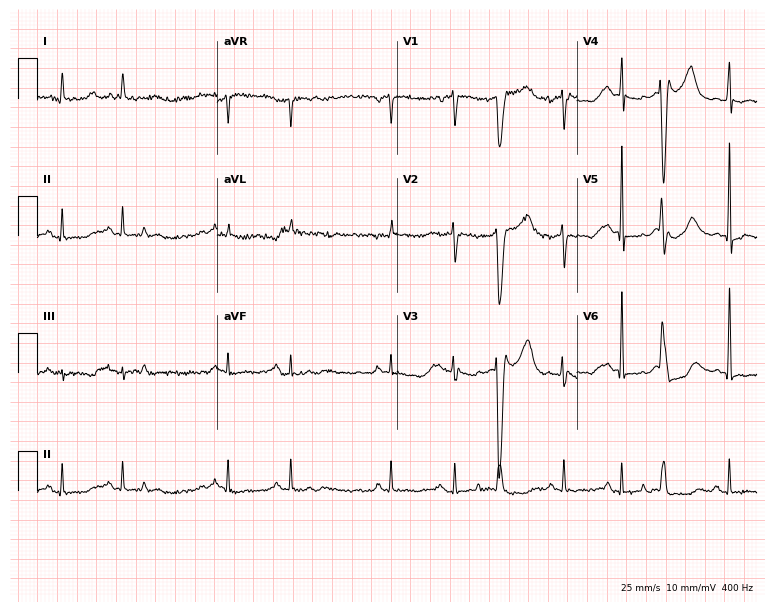
12-lead ECG (7.3-second recording at 400 Hz) from a woman, 56 years old. Screened for six findings — first-degree AV block, right bundle branch block, left bundle branch block, sinus bradycardia, atrial fibrillation, sinus tachycardia — none is recorded. Only these six findings were labelled.